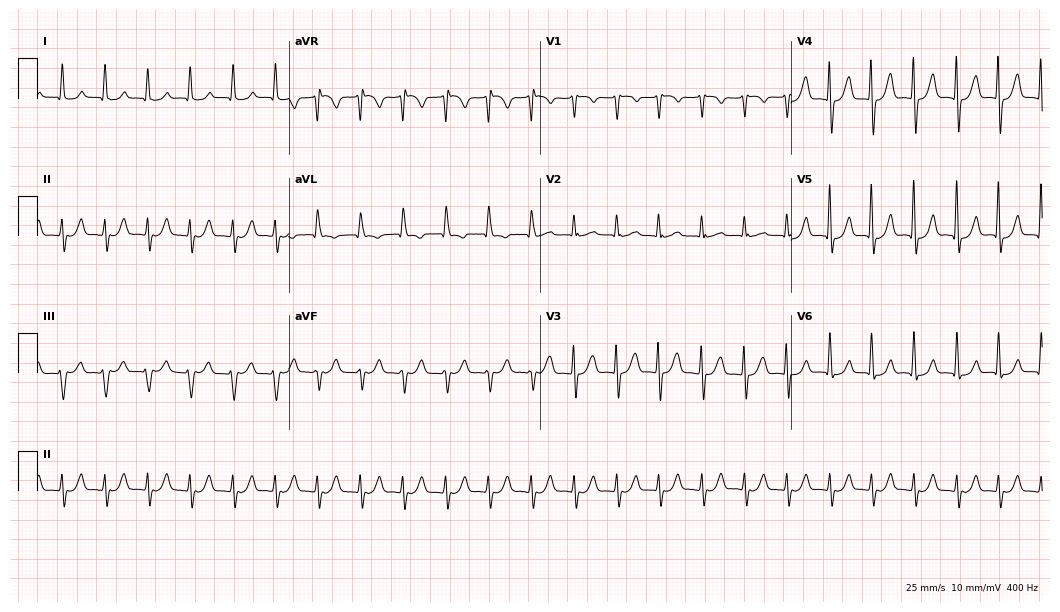
12-lead ECG from an 85-year-old woman (10.2-second recording at 400 Hz). No first-degree AV block, right bundle branch block, left bundle branch block, sinus bradycardia, atrial fibrillation or sinus tachycardia recorded for this tracing.